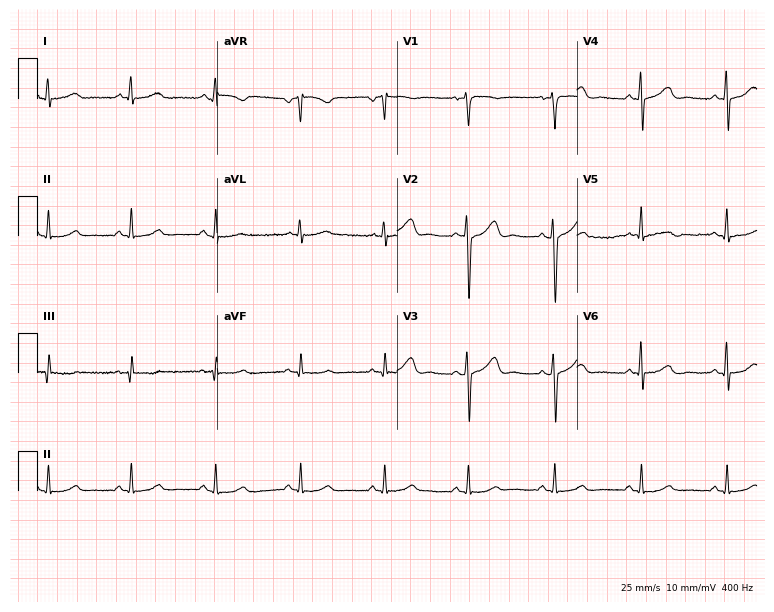
Standard 12-lead ECG recorded from a female, 45 years old. None of these six findings is recorded: first-degree AV block, right bundle branch block (RBBB), left bundle branch block (LBBB), sinus bradycardia, atrial fibrillation (AF), sinus tachycardia. Only these six findings were labelled.